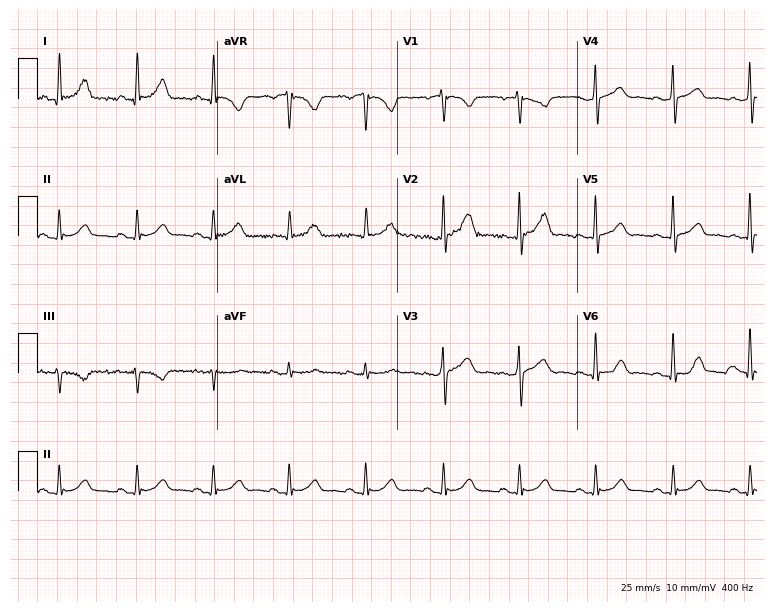
12-lead ECG from a man, 54 years old (7.3-second recording at 400 Hz). No first-degree AV block, right bundle branch block, left bundle branch block, sinus bradycardia, atrial fibrillation or sinus tachycardia recorded for this tracing.